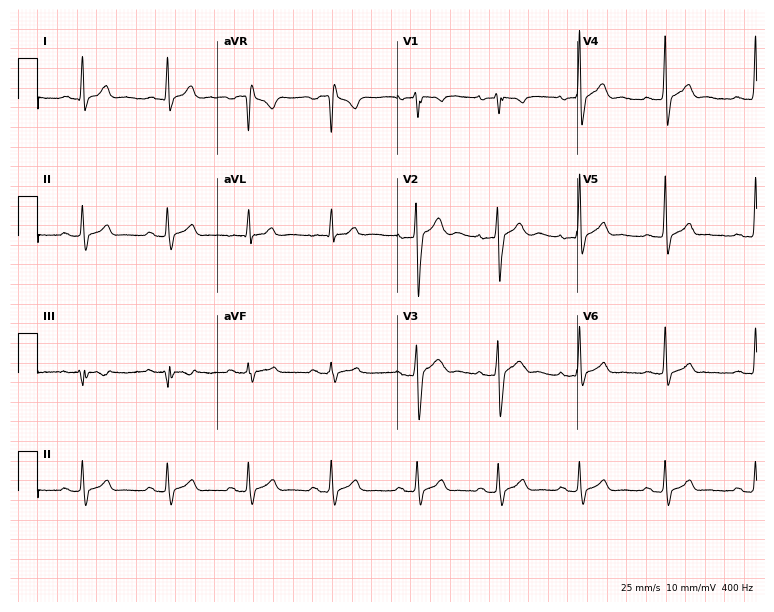
Resting 12-lead electrocardiogram. Patient: an 18-year-old man. Read as a normal ECG.